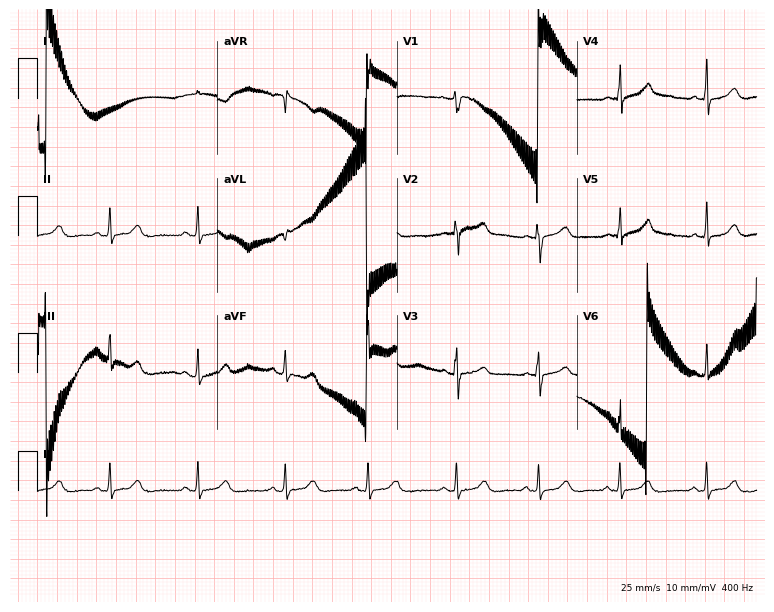
Electrocardiogram, a 20-year-old woman. Of the six screened findings (first-degree AV block, right bundle branch block (RBBB), left bundle branch block (LBBB), sinus bradycardia, atrial fibrillation (AF), sinus tachycardia), none is recorded. Findings outside these six are not listed.